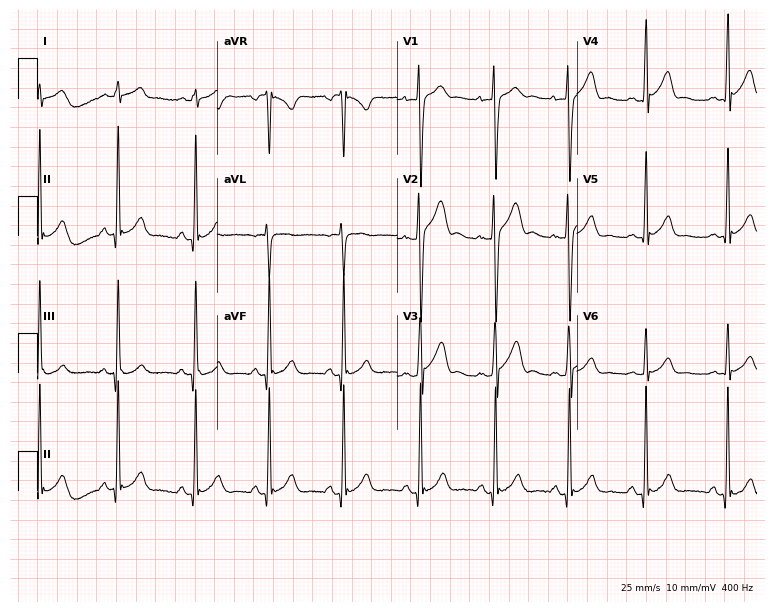
Resting 12-lead electrocardiogram (7.3-second recording at 400 Hz). Patient: a man, 21 years old. Read as a normal ECG.